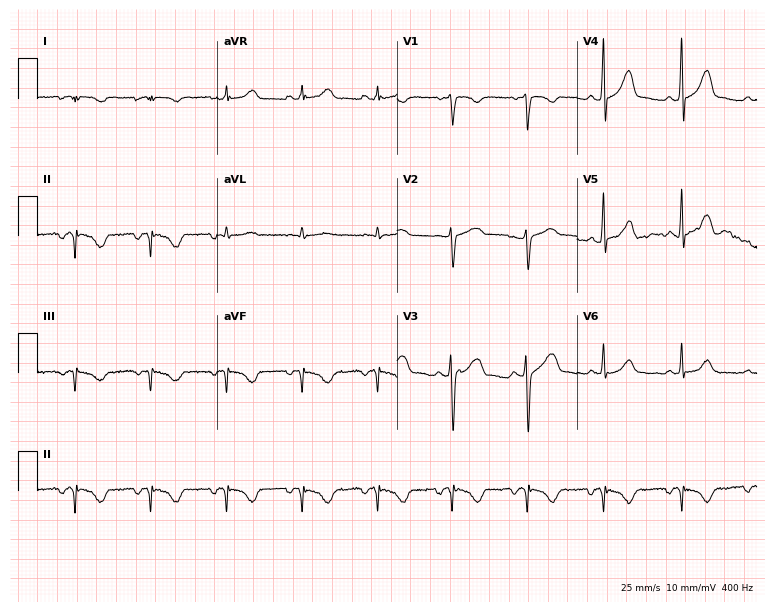
Standard 12-lead ECG recorded from a 56-year-old male patient. None of these six findings is recorded: first-degree AV block, right bundle branch block (RBBB), left bundle branch block (LBBB), sinus bradycardia, atrial fibrillation (AF), sinus tachycardia.